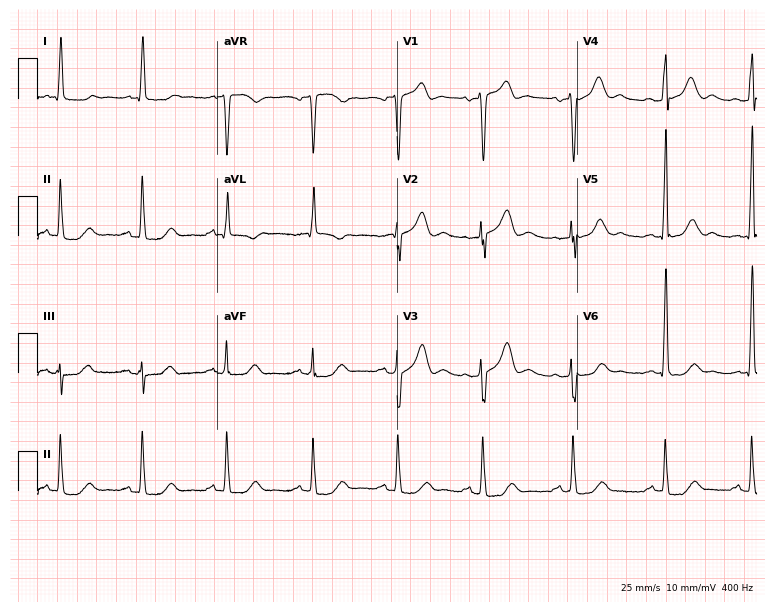
12-lead ECG from a male, 69 years old. Screened for six findings — first-degree AV block, right bundle branch block, left bundle branch block, sinus bradycardia, atrial fibrillation, sinus tachycardia — none is recorded. Other findings, if any, are not listed.